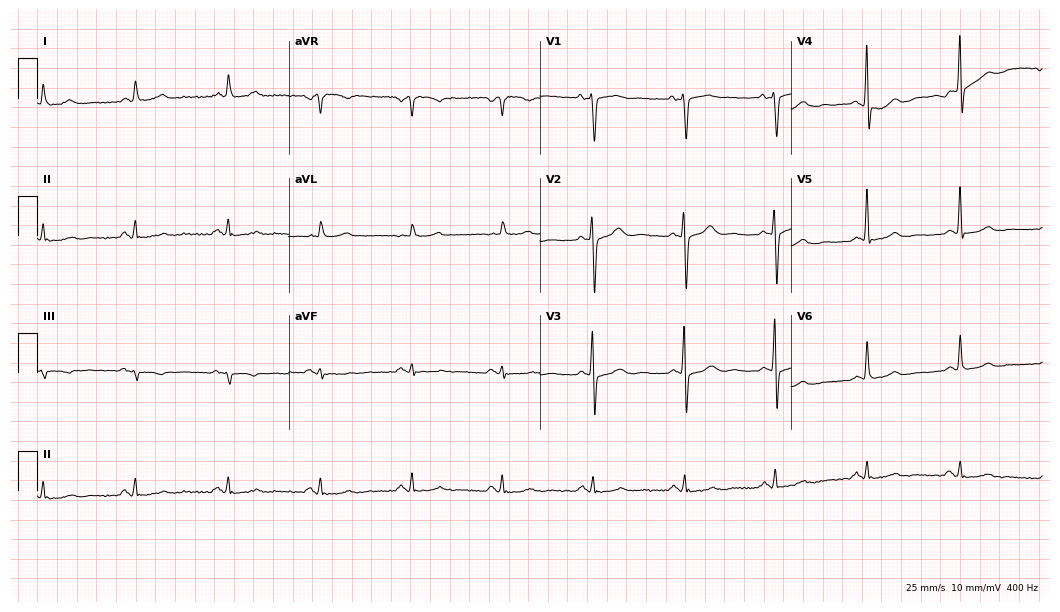
12-lead ECG from a male, 70 years old. Labelled as a normal ECG.